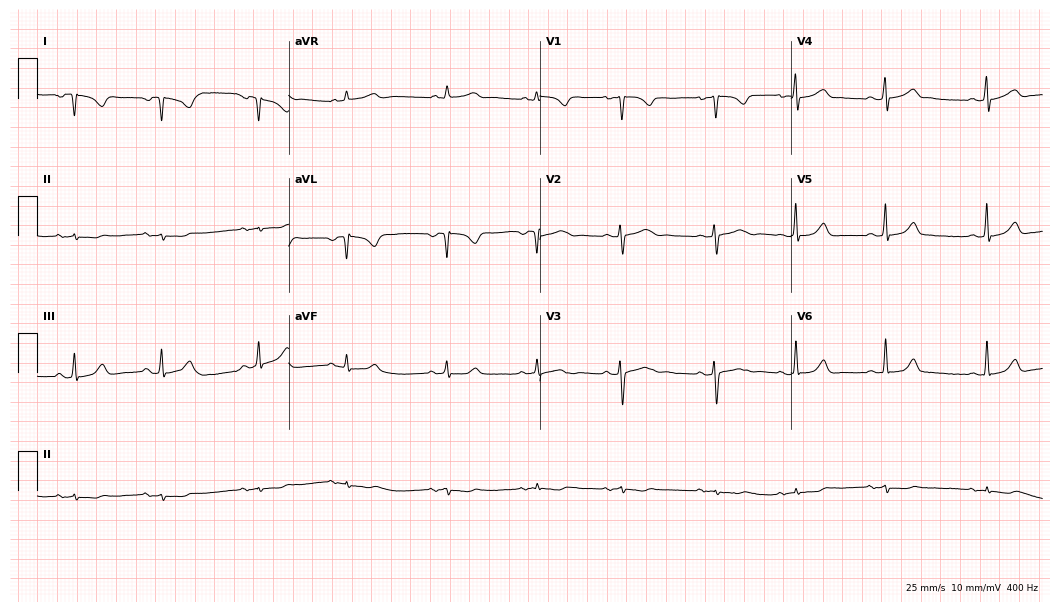
12-lead ECG from a woman, 20 years old. No first-degree AV block, right bundle branch block, left bundle branch block, sinus bradycardia, atrial fibrillation or sinus tachycardia recorded for this tracing.